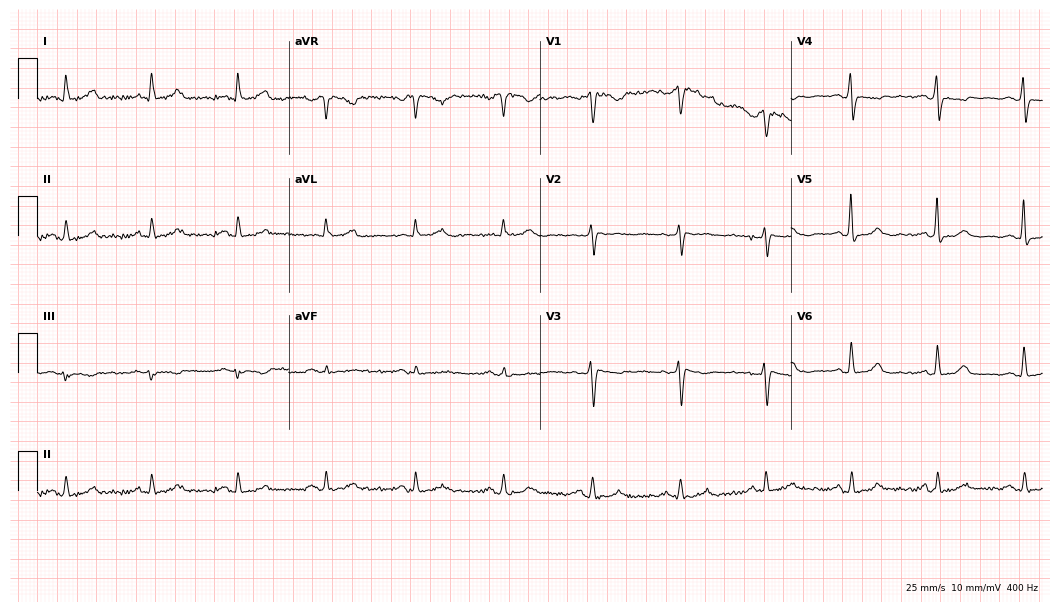
12-lead ECG (10.2-second recording at 400 Hz) from a 48-year-old woman. Screened for six findings — first-degree AV block, right bundle branch block, left bundle branch block, sinus bradycardia, atrial fibrillation, sinus tachycardia — none is recorded. Other findings, if any, are not listed.